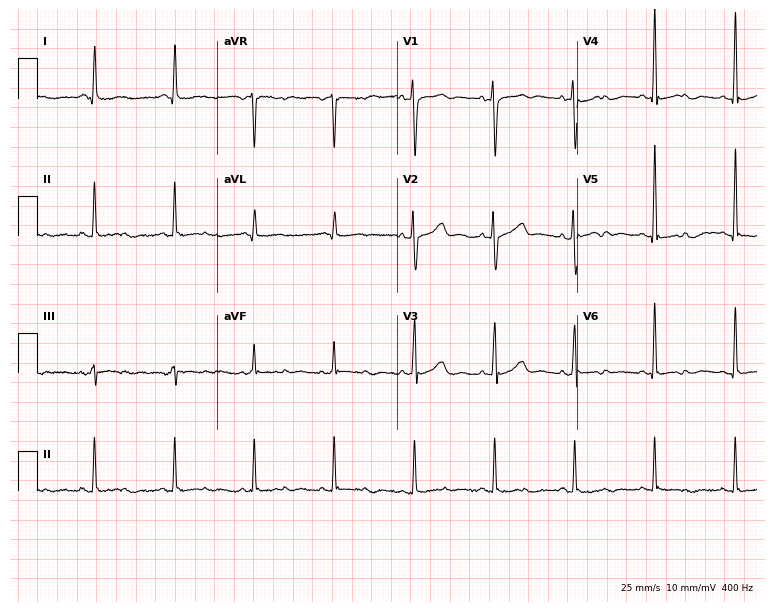
Electrocardiogram (7.3-second recording at 400 Hz), a woman, 69 years old. Of the six screened findings (first-degree AV block, right bundle branch block, left bundle branch block, sinus bradycardia, atrial fibrillation, sinus tachycardia), none is recorded. Findings outside these six are not listed.